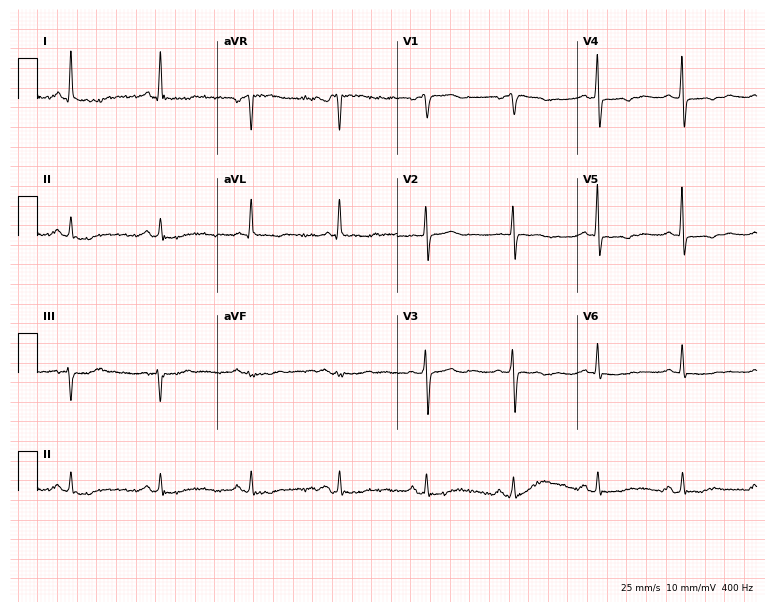
12-lead ECG from an 80-year-old female. No first-degree AV block, right bundle branch block, left bundle branch block, sinus bradycardia, atrial fibrillation or sinus tachycardia recorded for this tracing.